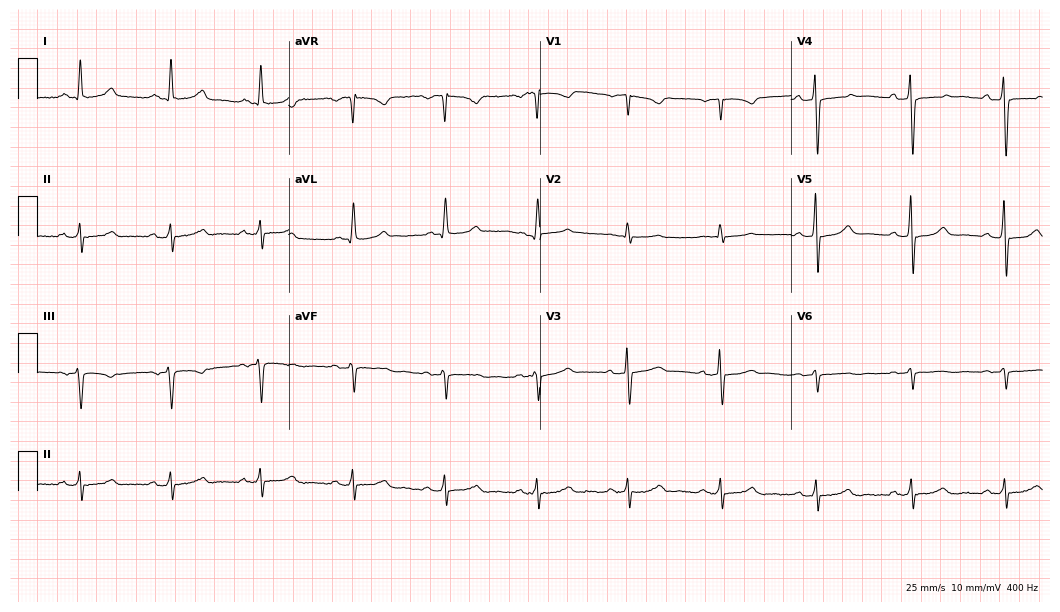
Electrocardiogram (10.2-second recording at 400 Hz), a woman, 62 years old. Of the six screened findings (first-degree AV block, right bundle branch block, left bundle branch block, sinus bradycardia, atrial fibrillation, sinus tachycardia), none is recorded. Only these six findings were labelled.